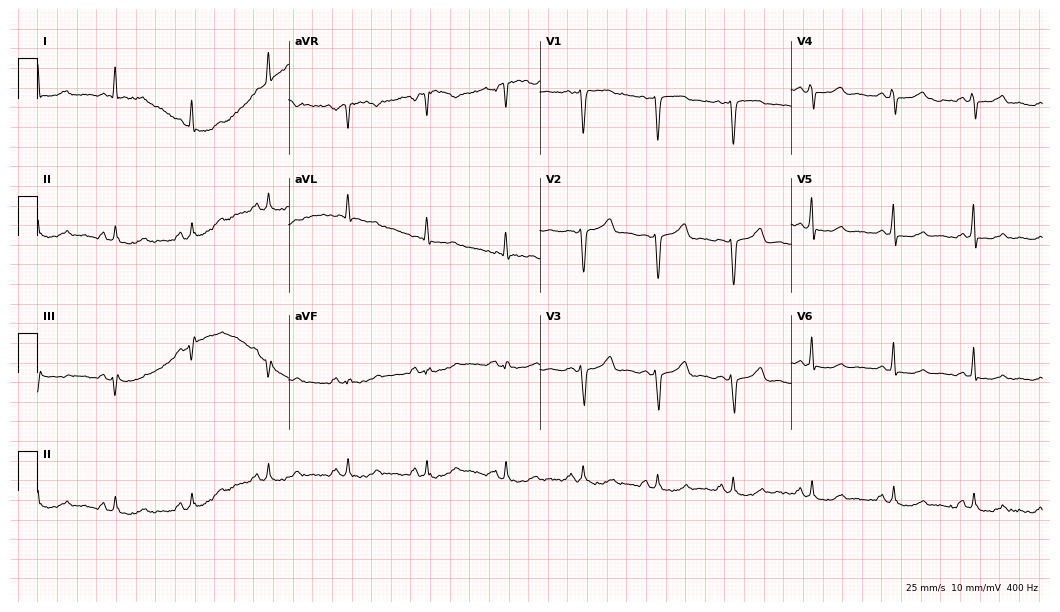
Electrocardiogram, a female, 47 years old. Overall reading on record: normal ECG.